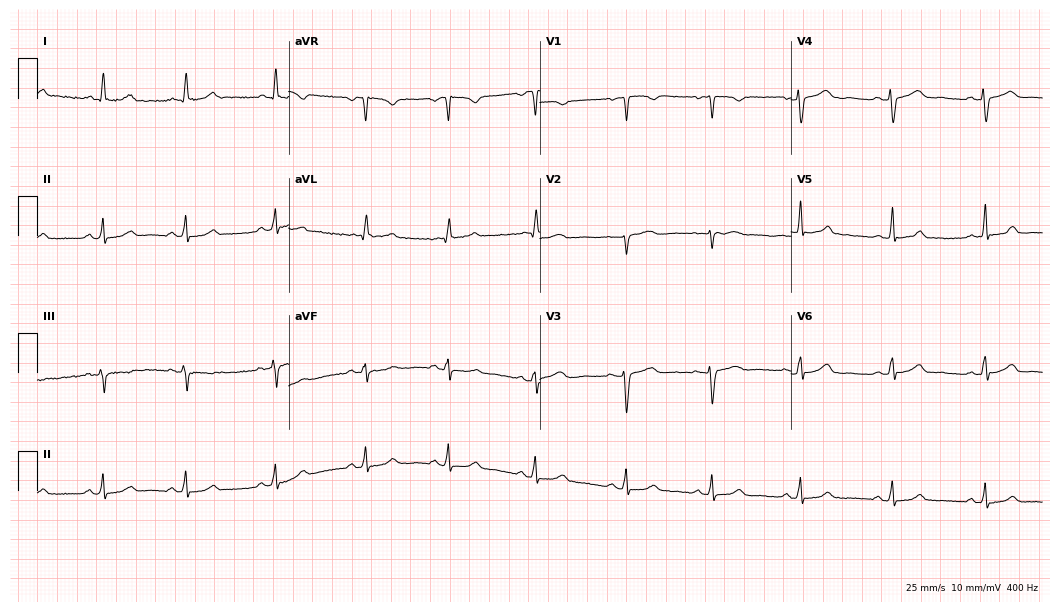
12-lead ECG from a 31-year-old female patient. Labelled as a normal ECG.